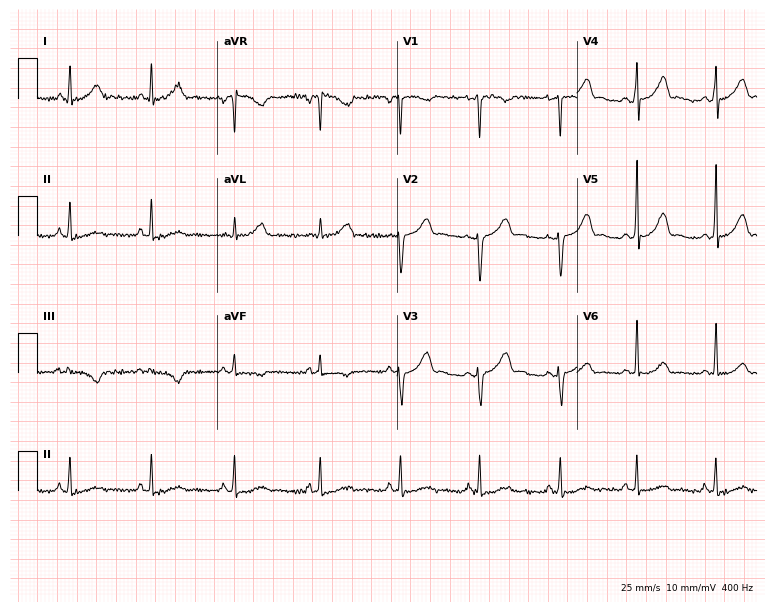
12-lead ECG from a 25-year-old female patient (7.3-second recording at 400 Hz). No first-degree AV block, right bundle branch block (RBBB), left bundle branch block (LBBB), sinus bradycardia, atrial fibrillation (AF) or sinus tachycardia recorded for this tracing. Only these six findings were labelled.